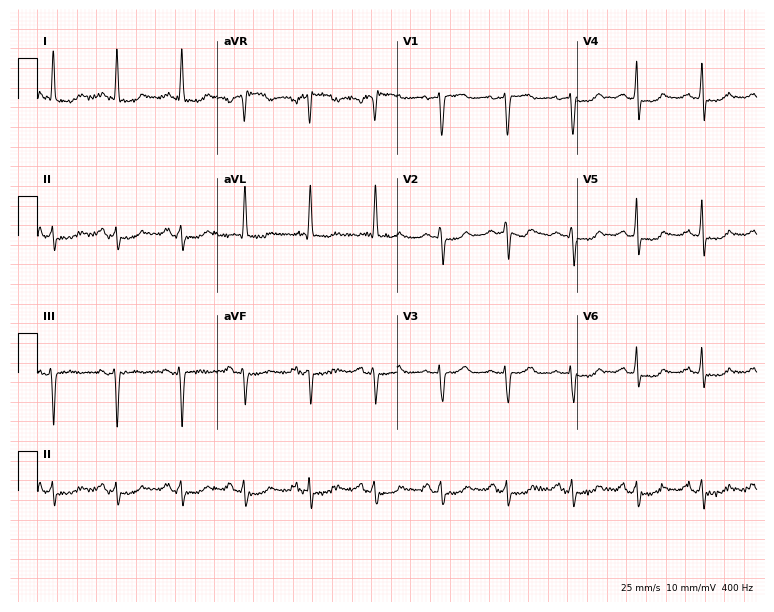
12-lead ECG from a female, 83 years old. Screened for six findings — first-degree AV block, right bundle branch block, left bundle branch block, sinus bradycardia, atrial fibrillation, sinus tachycardia — none is recorded. Other findings, if any, are not listed.